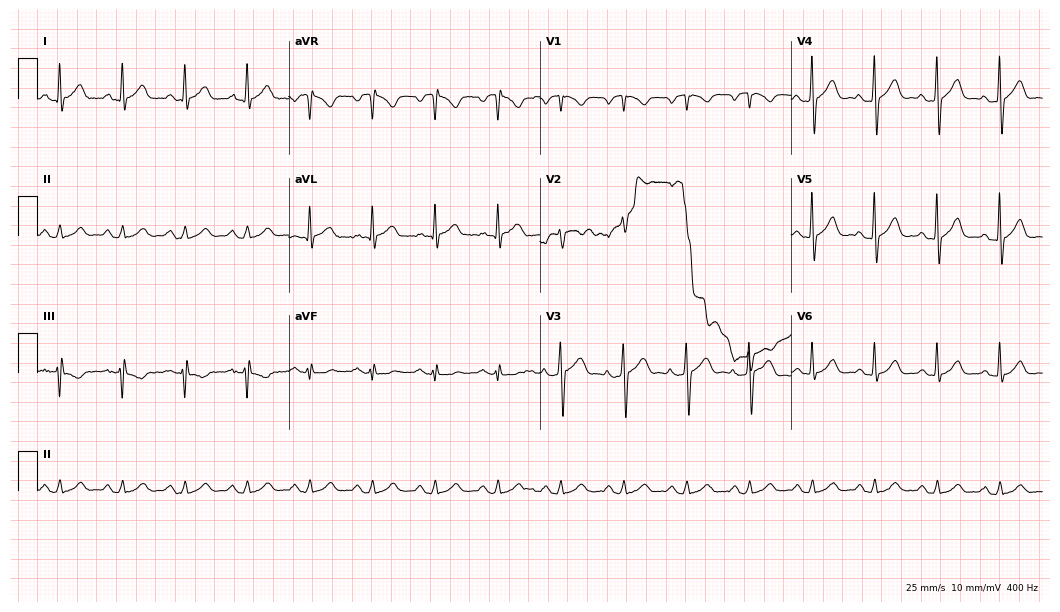
Electrocardiogram, a man, 63 years old. Overall reading on record: normal ECG.